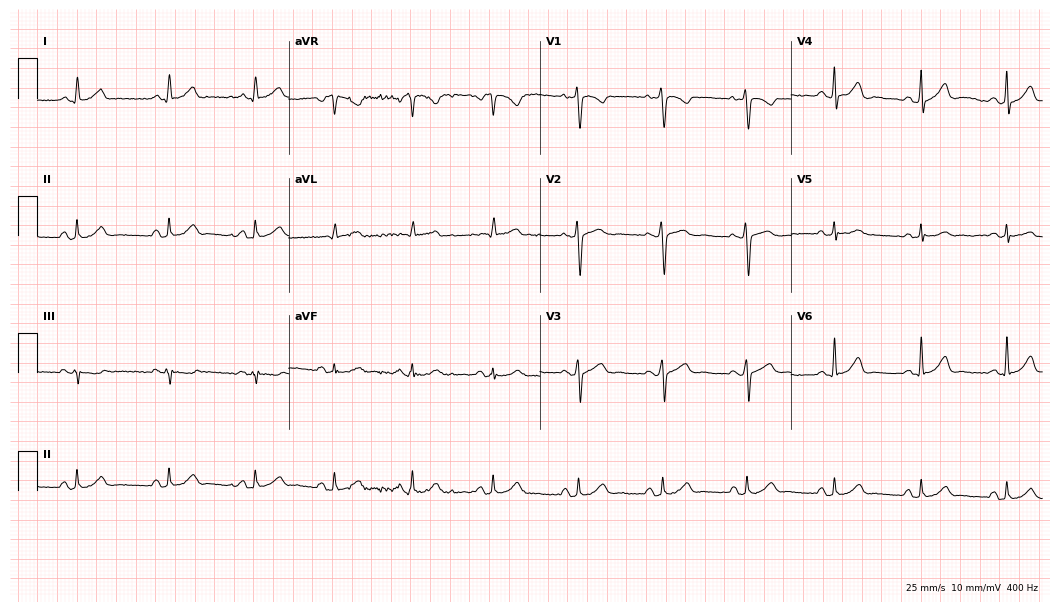
Standard 12-lead ECG recorded from a 21-year-old female patient (10.2-second recording at 400 Hz). Read as a normal ECG.